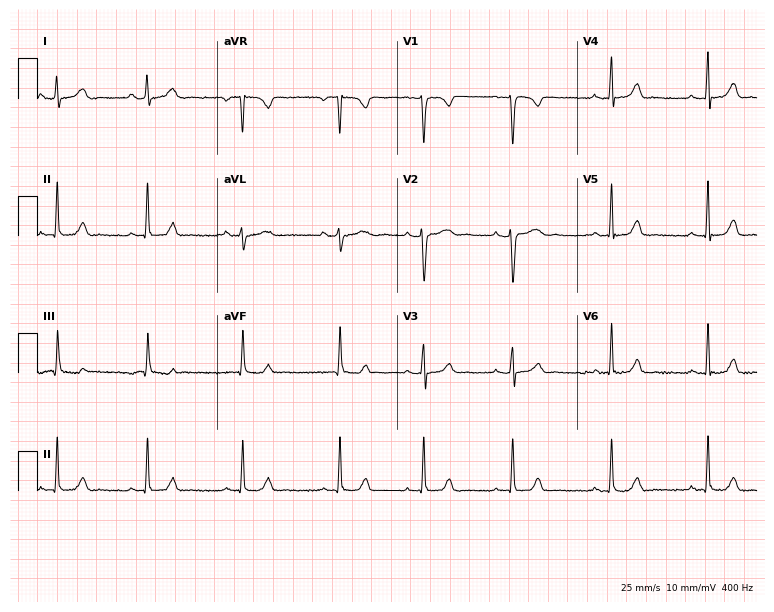
Resting 12-lead electrocardiogram (7.3-second recording at 400 Hz). Patient: a woman, 26 years old. Read as a normal ECG.